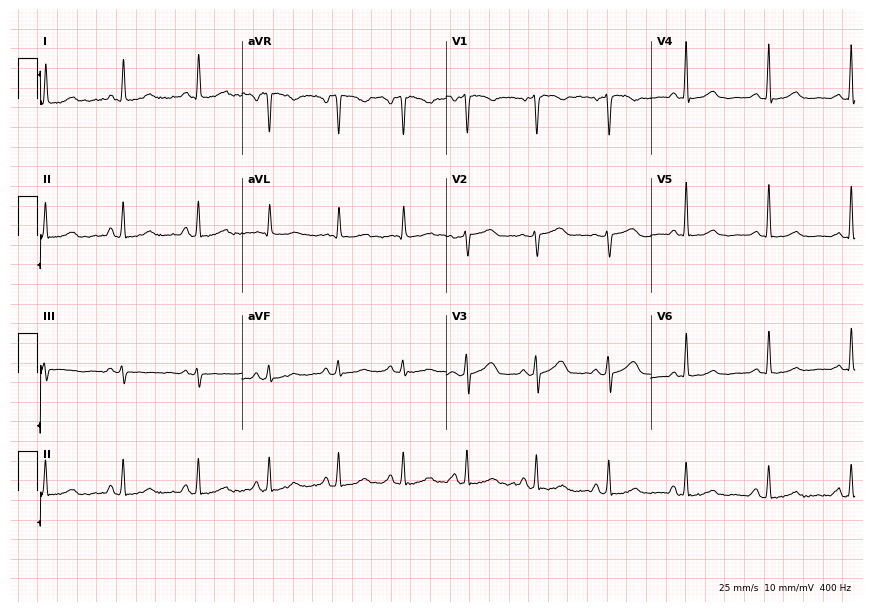
Standard 12-lead ECG recorded from a 54-year-old female. Read as a normal ECG.